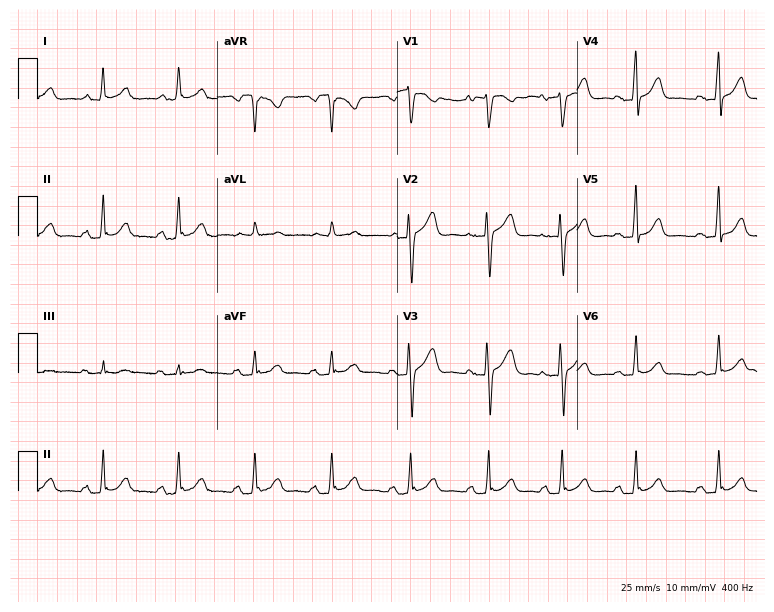
Standard 12-lead ECG recorded from a 43-year-old woman (7.3-second recording at 400 Hz). Read as a normal ECG.